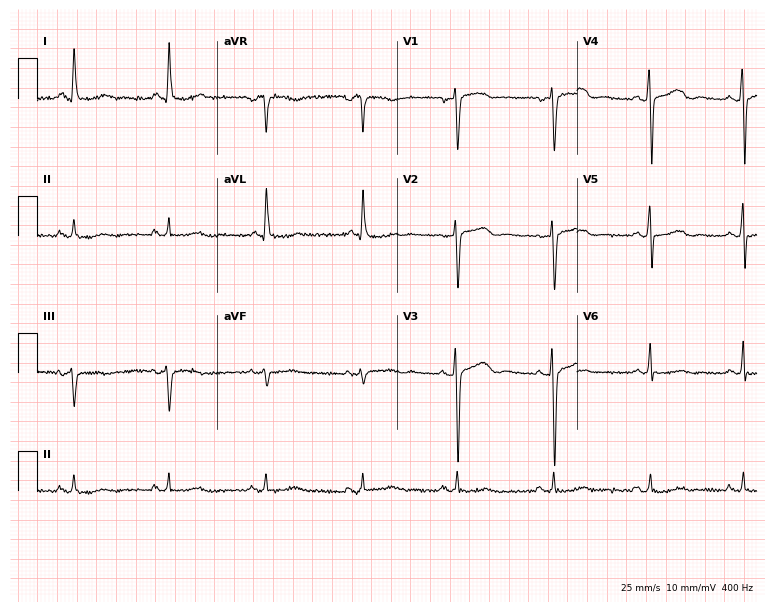
Standard 12-lead ECG recorded from a female patient, 65 years old (7.3-second recording at 400 Hz). None of these six findings is recorded: first-degree AV block, right bundle branch block (RBBB), left bundle branch block (LBBB), sinus bradycardia, atrial fibrillation (AF), sinus tachycardia.